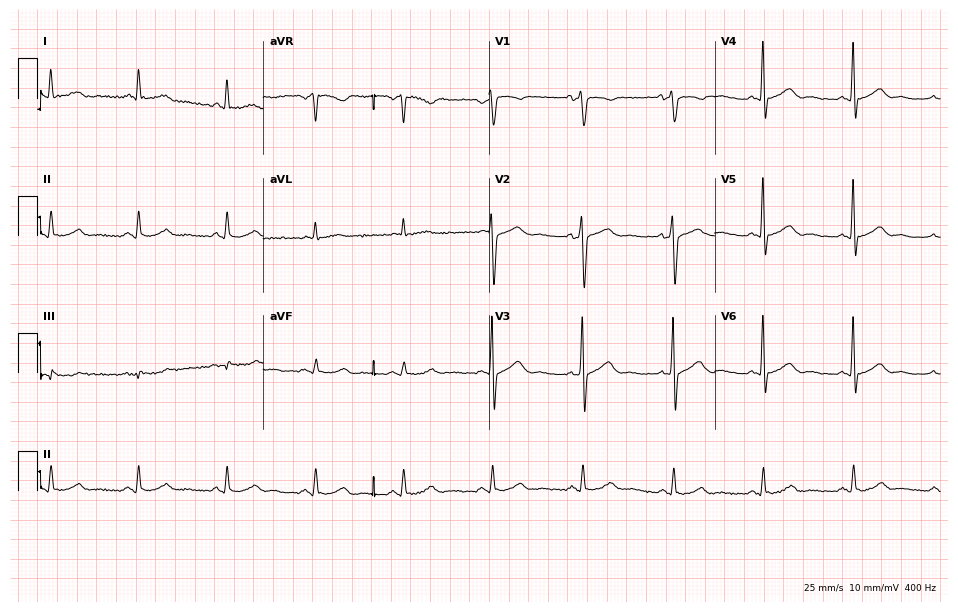
12-lead ECG from a 66-year-old man. Recorded interpretation: within normal limits.